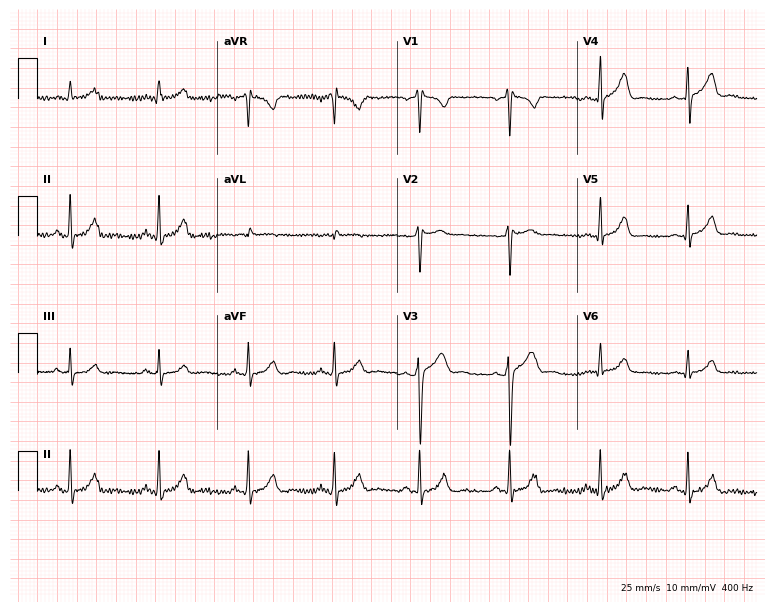
Electrocardiogram (7.3-second recording at 400 Hz), a 37-year-old man. Of the six screened findings (first-degree AV block, right bundle branch block (RBBB), left bundle branch block (LBBB), sinus bradycardia, atrial fibrillation (AF), sinus tachycardia), none is recorded.